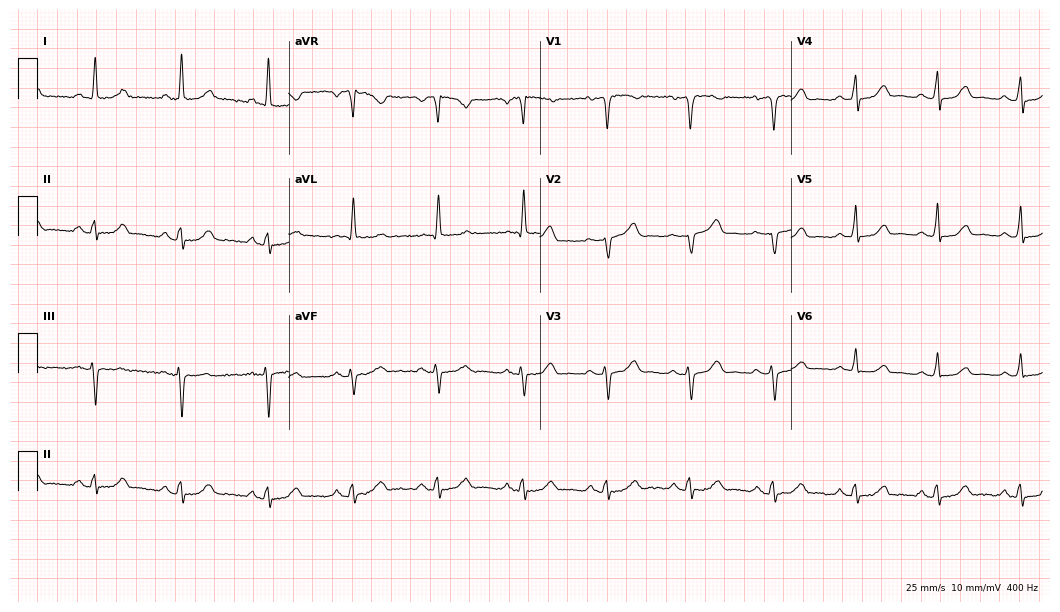
Standard 12-lead ECG recorded from a female, 63 years old (10.2-second recording at 400 Hz). Read as a normal ECG.